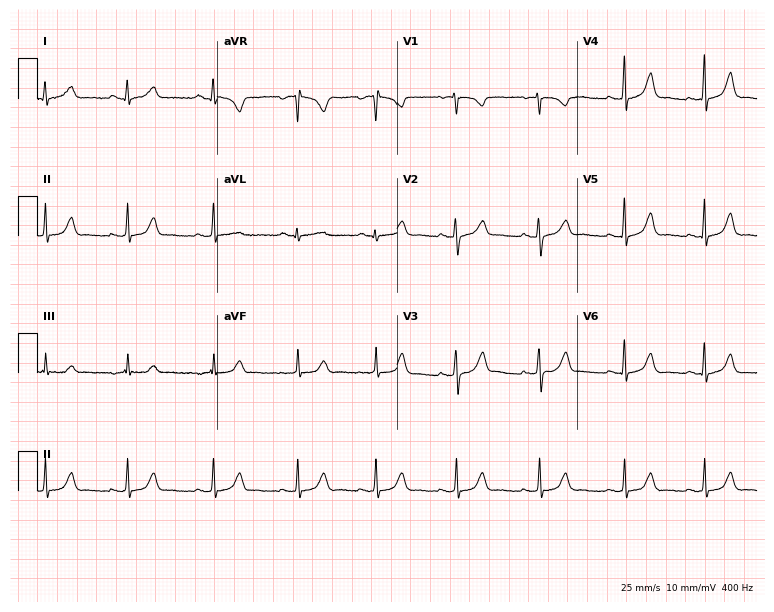
ECG (7.3-second recording at 400 Hz) — a woman, 24 years old. Labelled as a normal ECG.